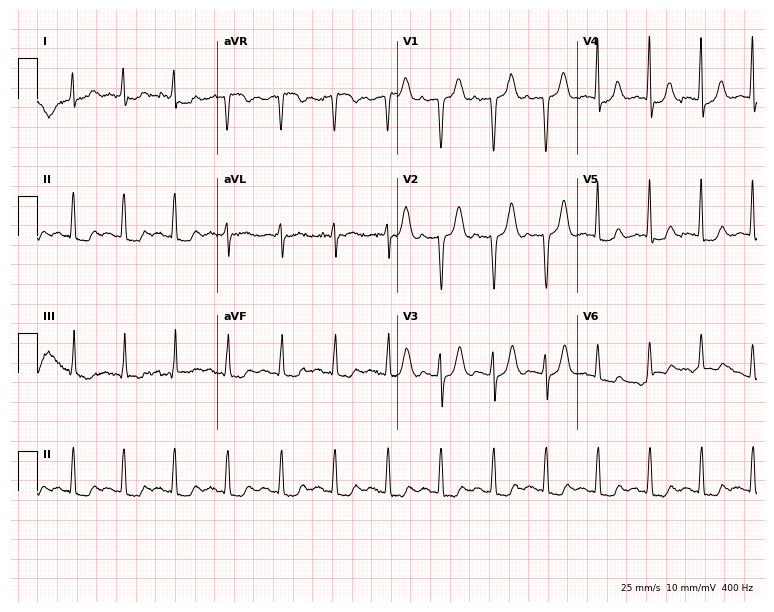
Standard 12-lead ECG recorded from a woman, 80 years old. None of these six findings is recorded: first-degree AV block, right bundle branch block, left bundle branch block, sinus bradycardia, atrial fibrillation, sinus tachycardia. Other findings, if any, are not listed.